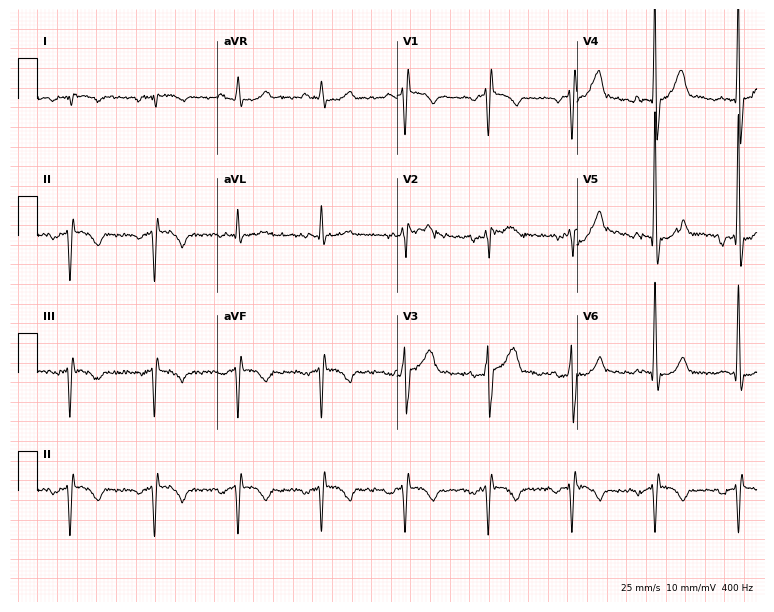
12-lead ECG from a 71-year-old male. No first-degree AV block, right bundle branch block (RBBB), left bundle branch block (LBBB), sinus bradycardia, atrial fibrillation (AF) or sinus tachycardia recorded for this tracing. Findings outside these six are not listed.